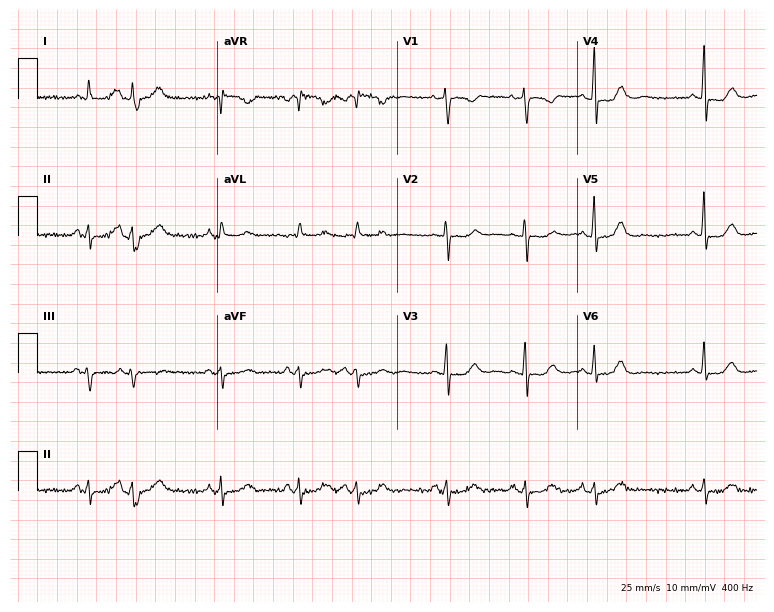
Standard 12-lead ECG recorded from a female, 85 years old (7.3-second recording at 400 Hz). None of these six findings is recorded: first-degree AV block, right bundle branch block, left bundle branch block, sinus bradycardia, atrial fibrillation, sinus tachycardia.